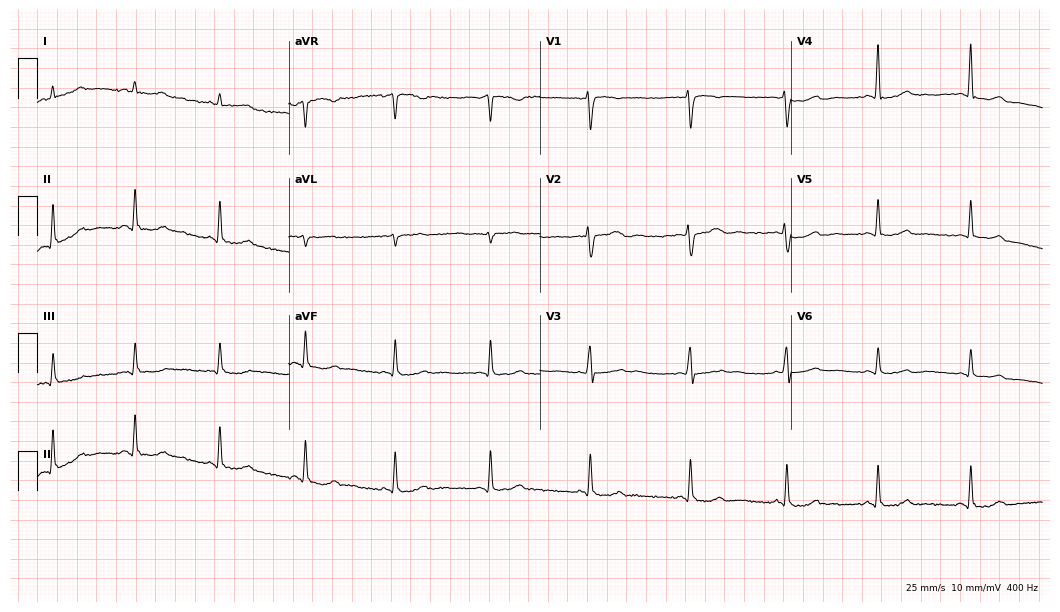
Resting 12-lead electrocardiogram (10.2-second recording at 400 Hz). Patient: a male, 38 years old. None of these six findings is recorded: first-degree AV block, right bundle branch block, left bundle branch block, sinus bradycardia, atrial fibrillation, sinus tachycardia.